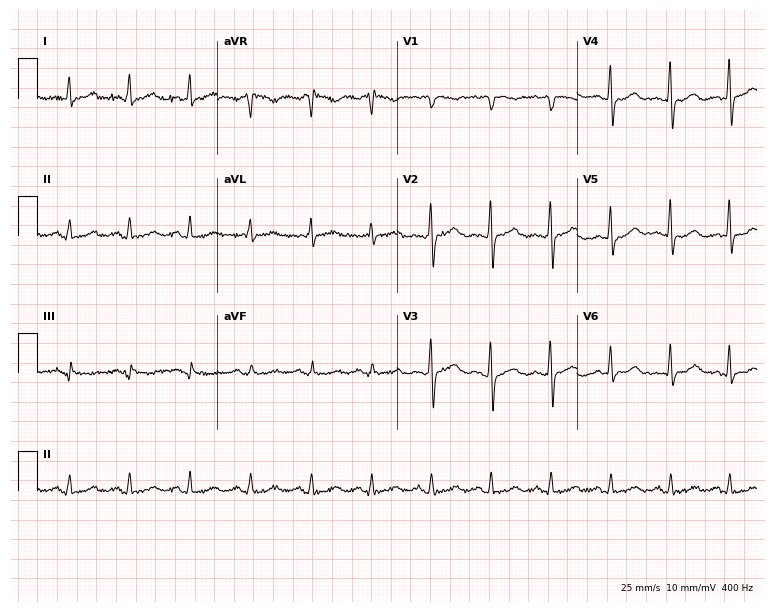
12-lead ECG from a 54-year-old female patient. Labelled as a normal ECG.